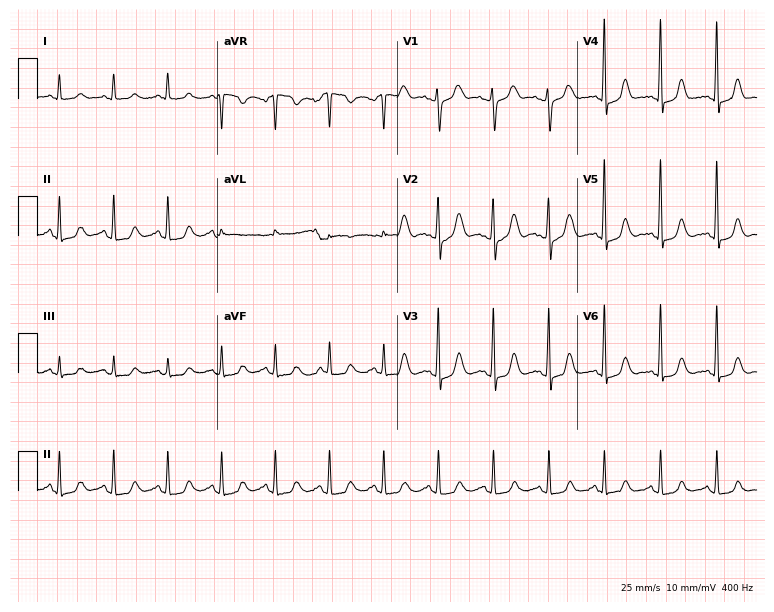
12-lead ECG from a woman, 61 years old (7.3-second recording at 400 Hz). Shows sinus tachycardia (a sinus rate of 100 beats per minute or more).